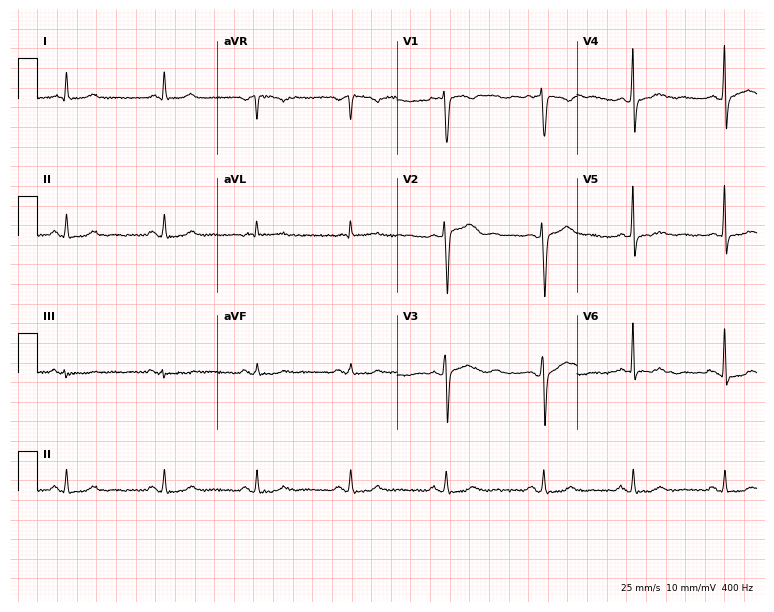
Resting 12-lead electrocardiogram (7.3-second recording at 400 Hz). Patient: a 46-year-old man. None of these six findings is recorded: first-degree AV block, right bundle branch block, left bundle branch block, sinus bradycardia, atrial fibrillation, sinus tachycardia.